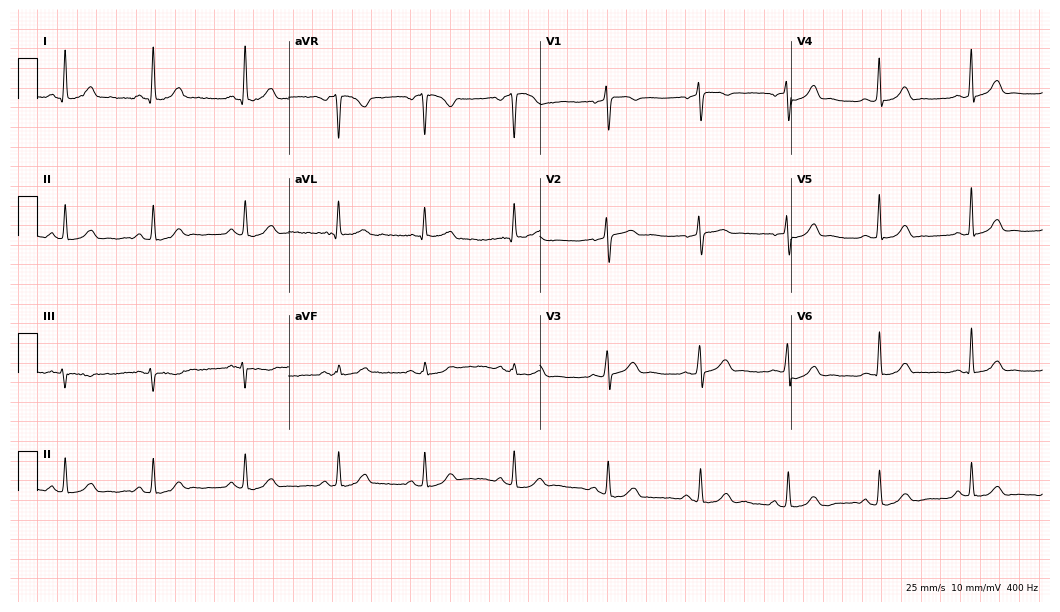
ECG — a female, 34 years old. Labelled as a normal ECG.